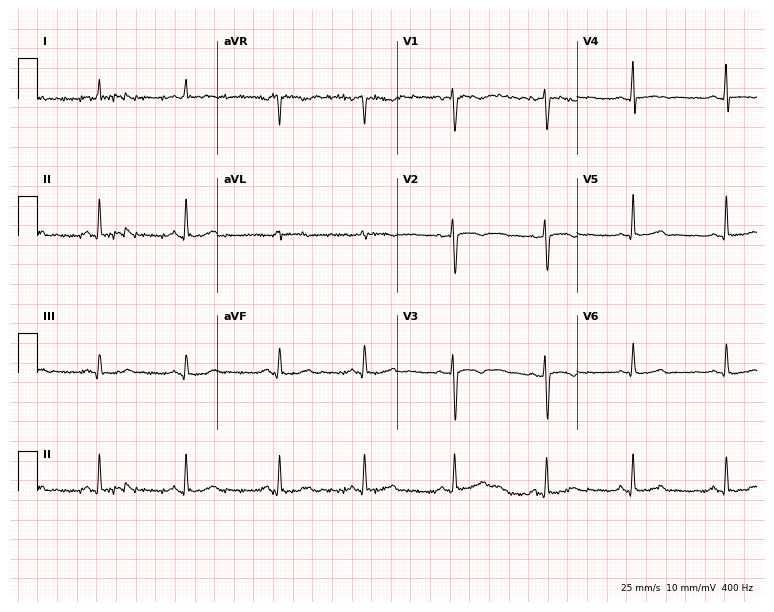
12-lead ECG from a female patient, 29 years old. No first-degree AV block, right bundle branch block, left bundle branch block, sinus bradycardia, atrial fibrillation or sinus tachycardia recorded for this tracing.